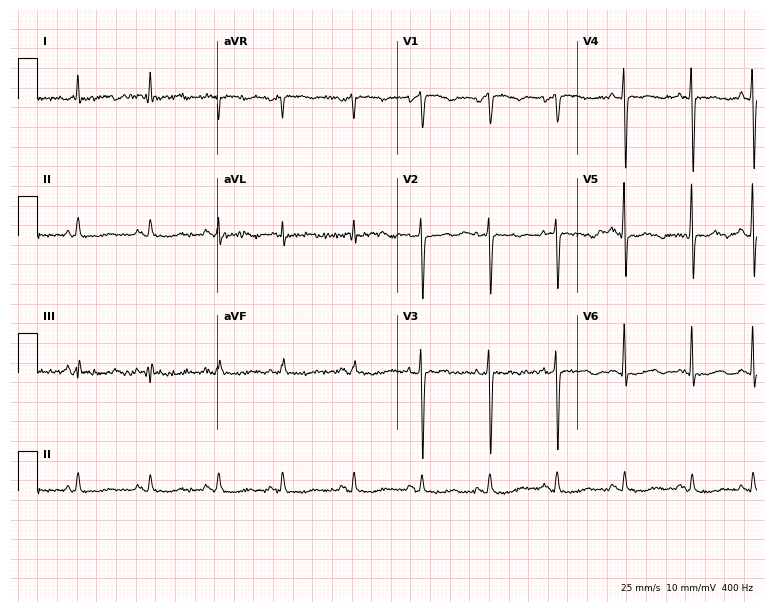
Standard 12-lead ECG recorded from a woman, 76 years old. None of these six findings is recorded: first-degree AV block, right bundle branch block (RBBB), left bundle branch block (LBBB), sinus bradycardia, atrial fibrillation (AF), sinus tachycardia.